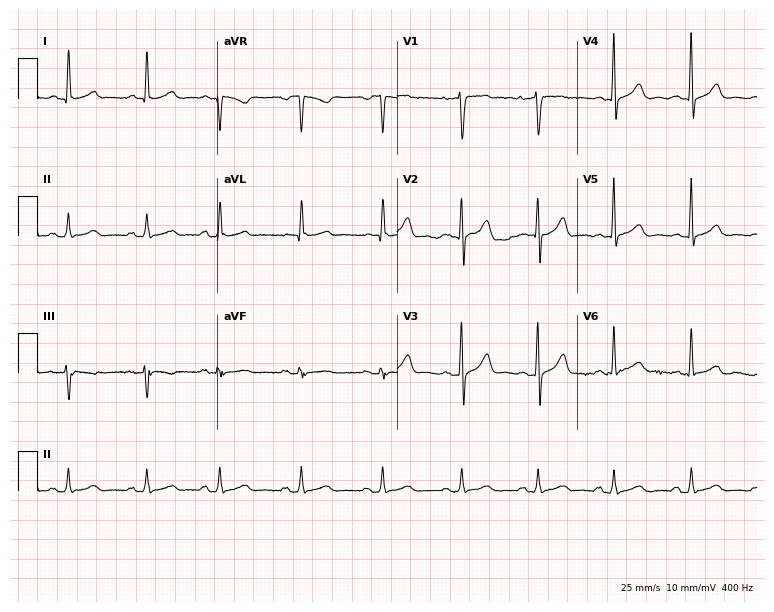
Standard 12-lead ECG recorded from a 40-year-old woman (7.3-second recording at 400 Hz). Read as a normal ECG.